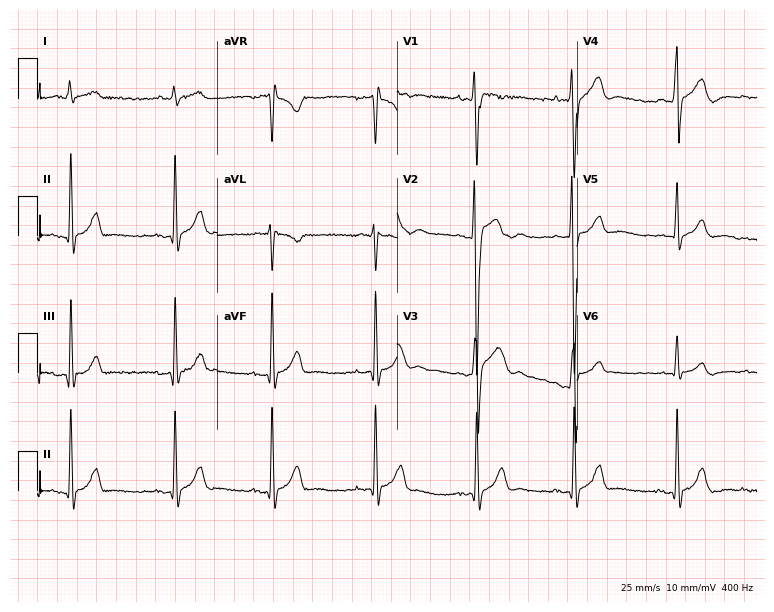
Resting 12-lead electrocardiogram (7.3-second recording at 400 Hz). Patient: a man, 20 years old. Read as a normal ECG.